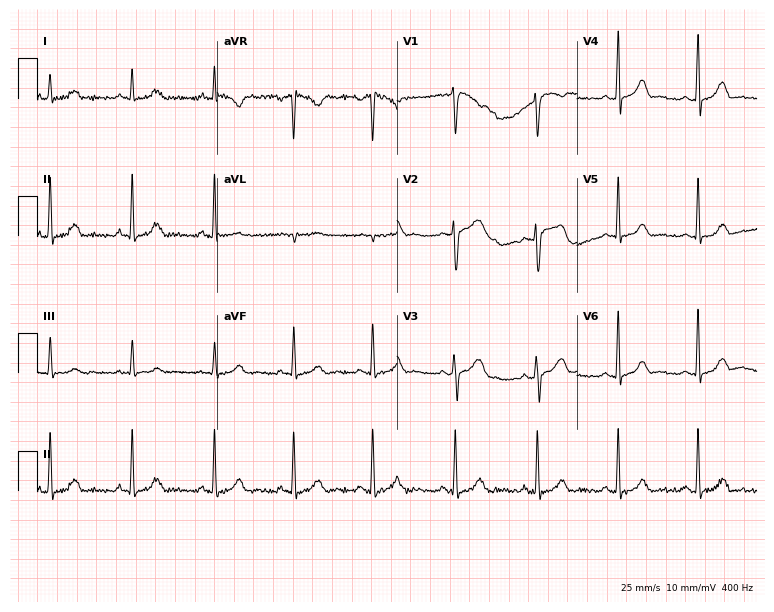
12-lead ECG from a female patient, 28 years old. No first-degree AV block, right bundle branch block (RBBB), left bundle branch block (LBBB), sinus bradycardia, atrial fibrillation (AF) or sinus tachycardia recorded for this tracing. Findings outside these six are not listed.